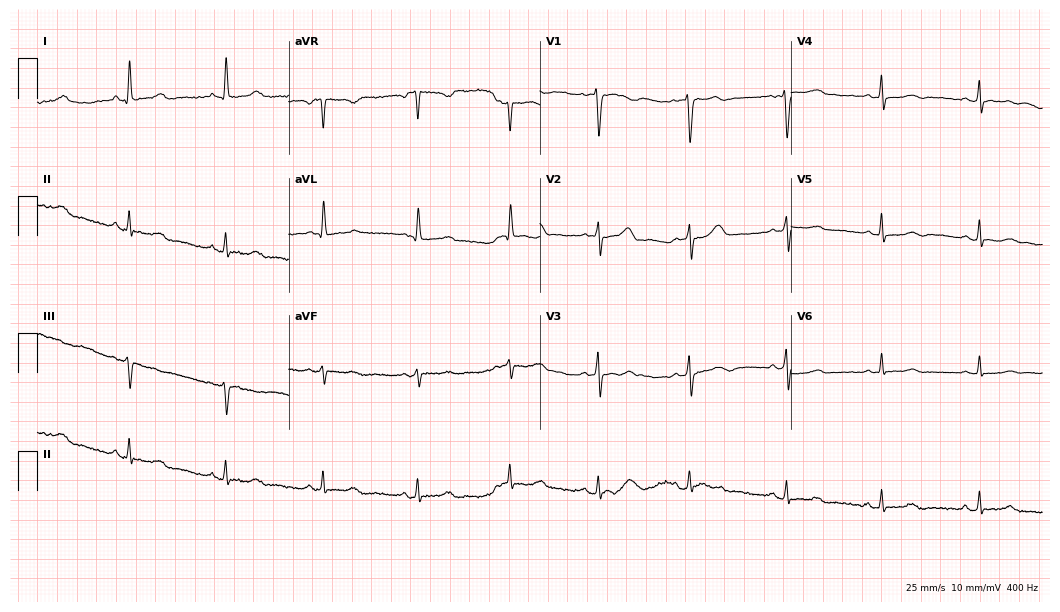
ECG — a female, 46 years old. Labelled as a normal ECG.